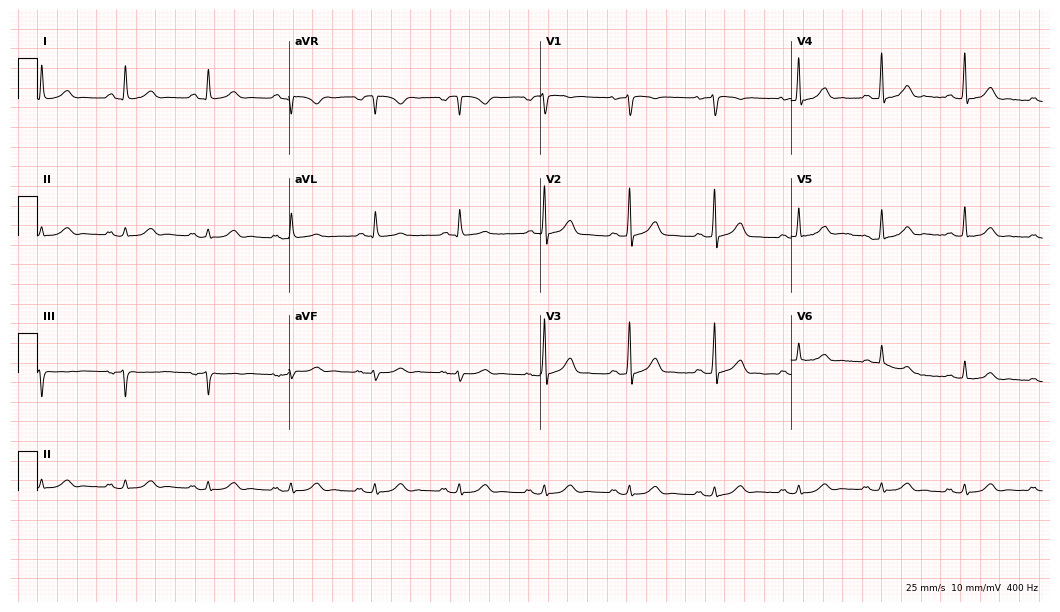
Resting 12-lead electrocardiogram (10.2-second recording at 400 Hz). Patient: a male, 68 years old. Read as a normal ECG.